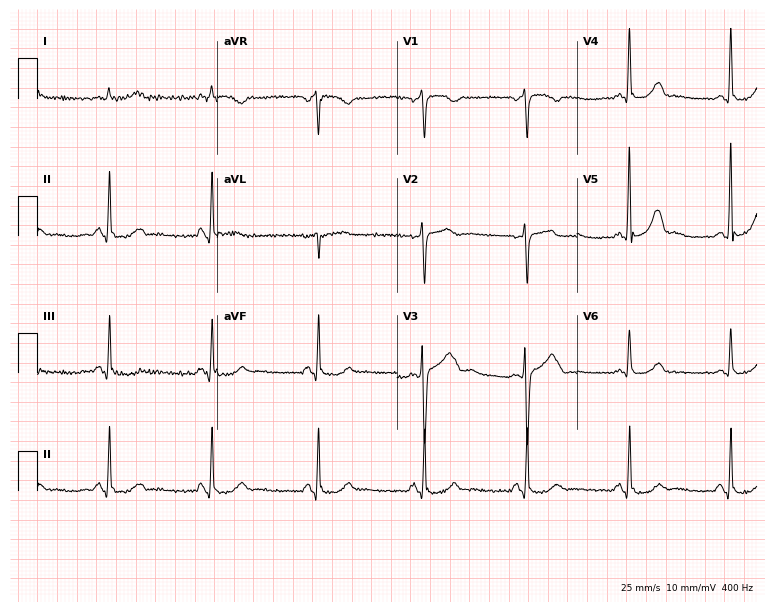
12-lead ECG from a 58-year-old male. Labelled as a normal ECG.